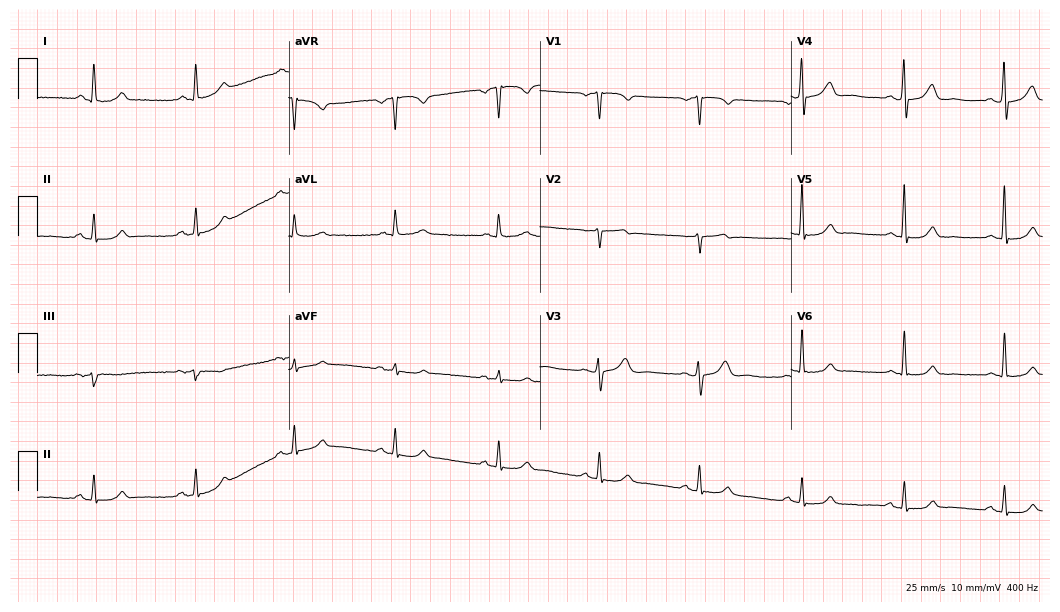
Resting 12-lead electrocardiogram (10.2-second recording at 400 Hz). Patient: a 47-year-old female. Read as a normal ECG.